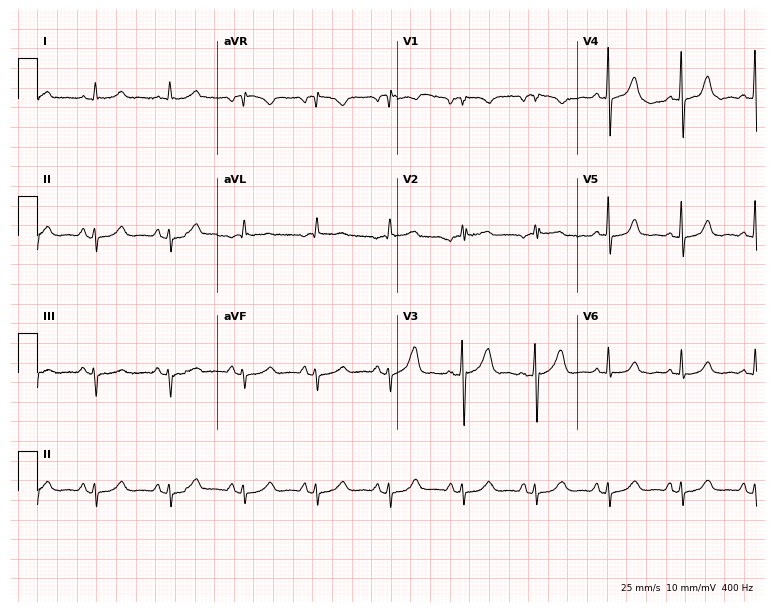
12-lead ECG from a 71-year-old man (7.3-second recording at 400 Hz). No first-degree AV block, right bundle branch block, left bundle branch block, sinus bradycardia, atrial fibrillation or sinus tachycardia recorded for this tracing.